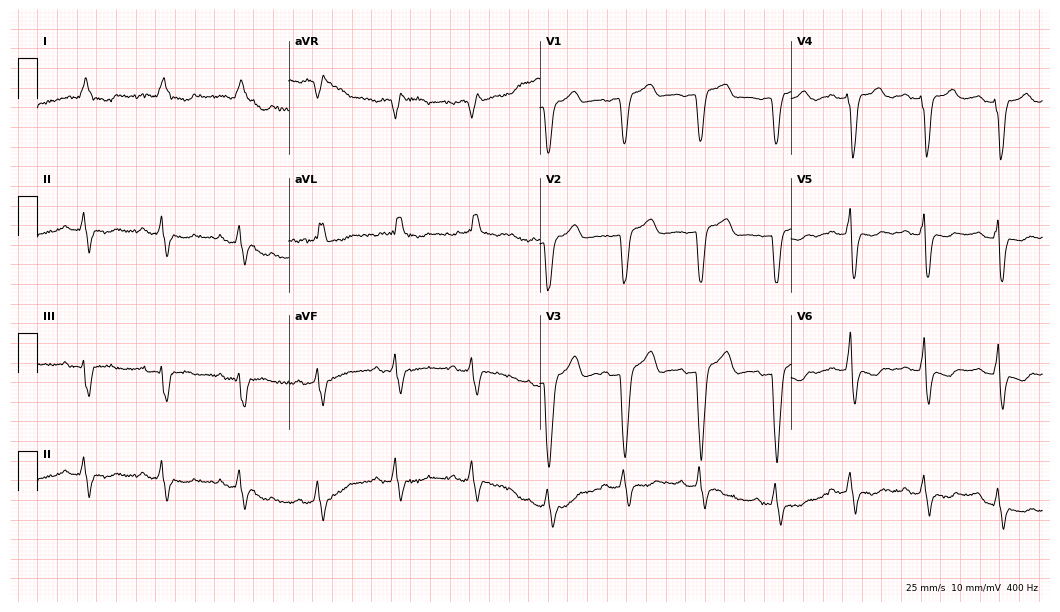
12-lead ECG (10.2-second recording at 400 Hz) from a woman, 74 years old. Findings include left bundle branch block (LBBB).